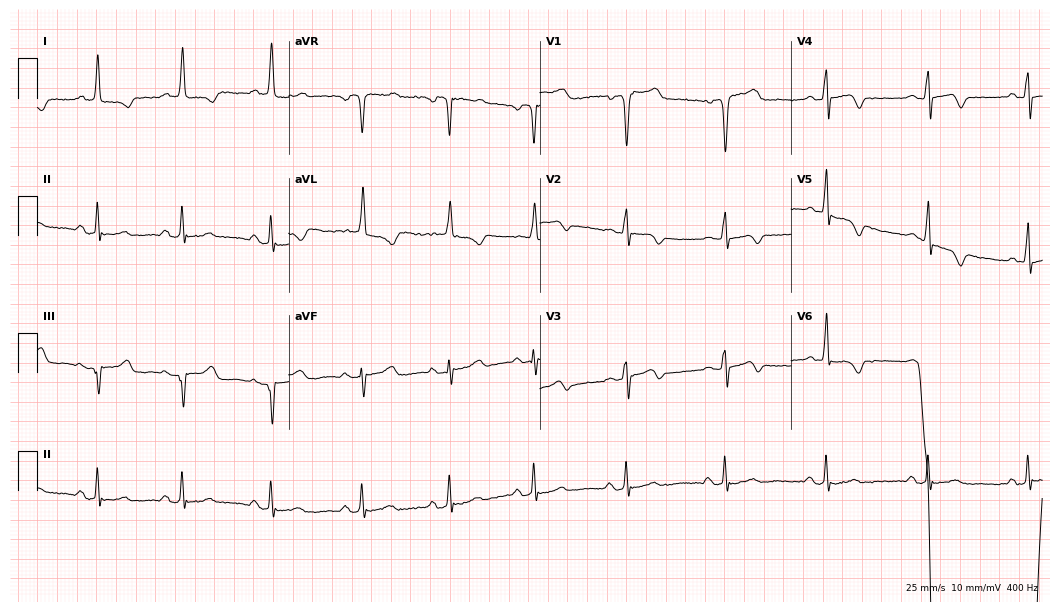
12-lead ECG from a 70-year-old woman (10.2-second recording at 400 Hz). No first-degree AV block, right bundle branch block, left bundle branch block, sinus bradycardia, atrial fibrillation or sinus tachycardia recorded for this tracing.